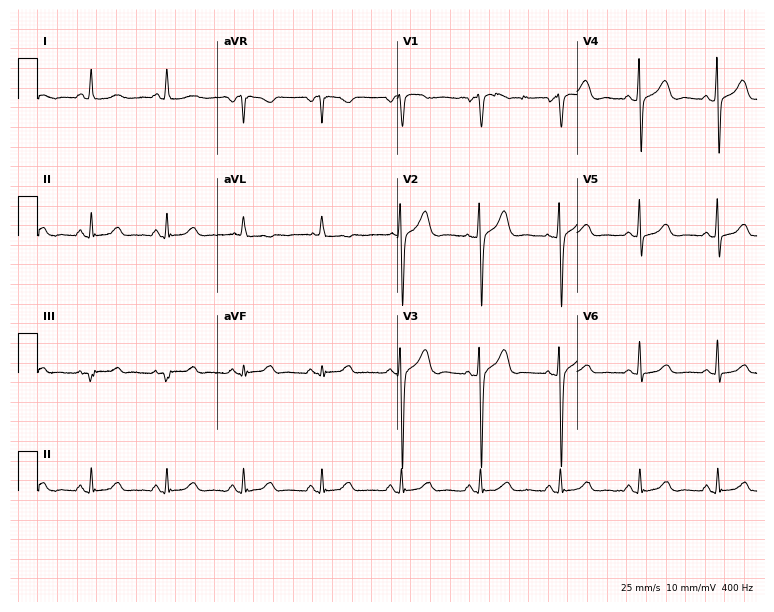
Standard 12-lead ECG recorded from a 70-year-old female patient. None of these six findings is recorded: first-degree AV block, right bundle branch block, left bundle branch block, sinus bradycardia, atrial fibrillation, sinus tachycardia.